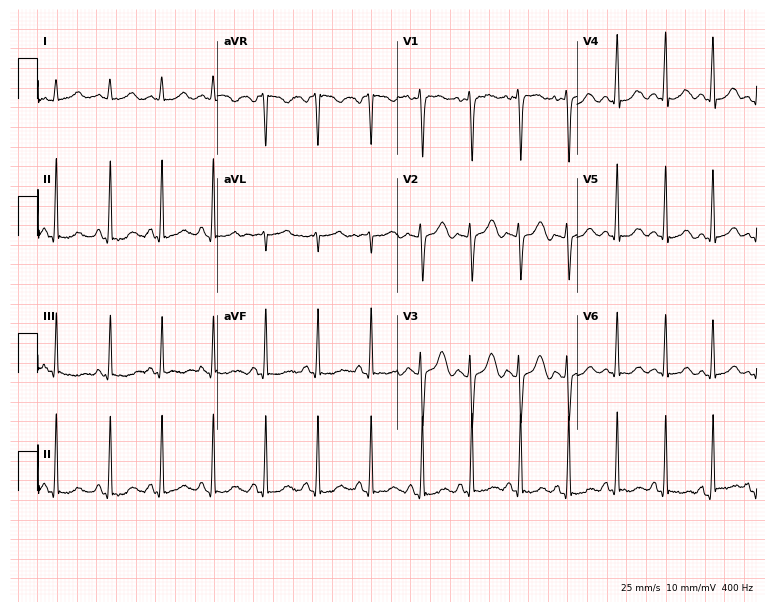
12-lead ECG (7.3-second recording at 400 Hz) from a 17-year-old female. Findings include sinus tachycardia (a sinus rate of 100 beats per minute or more).